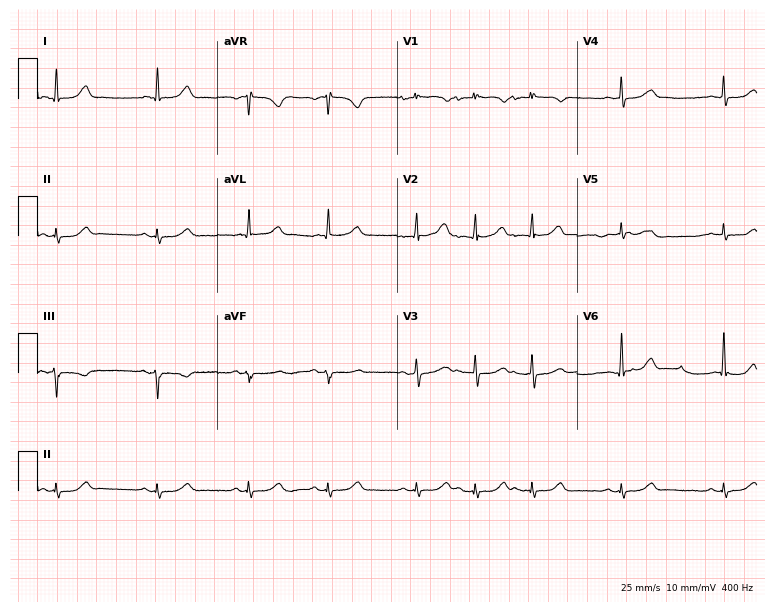
12-lead ECG from a female, 80 years old. Recorded interpretation: within normal limits.